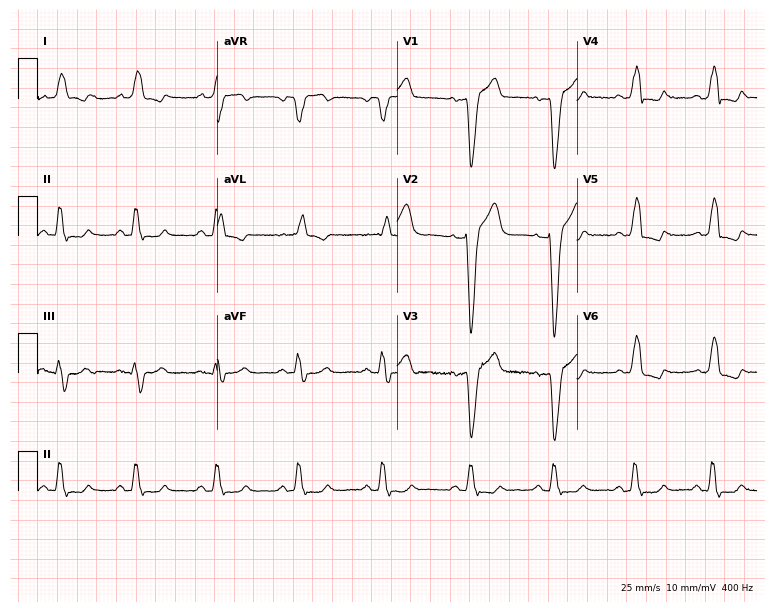
Resting 12-lead electrocardiogram (7.3-second recording at 400 Hz). Patient: a male, 58 years old. The tracing shows left bundle branch block (LBBB).